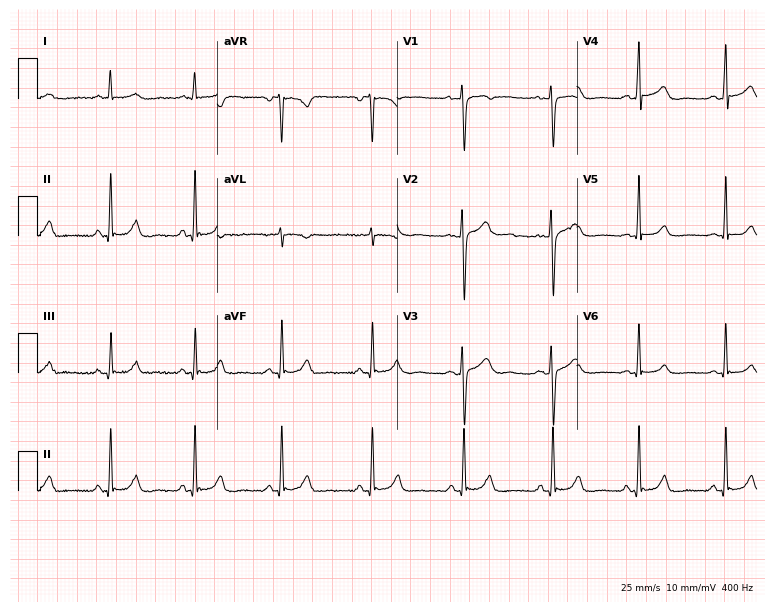
Standard 12-lead ECG recorded from a woman, 40 years old. Read as a normal ECG.